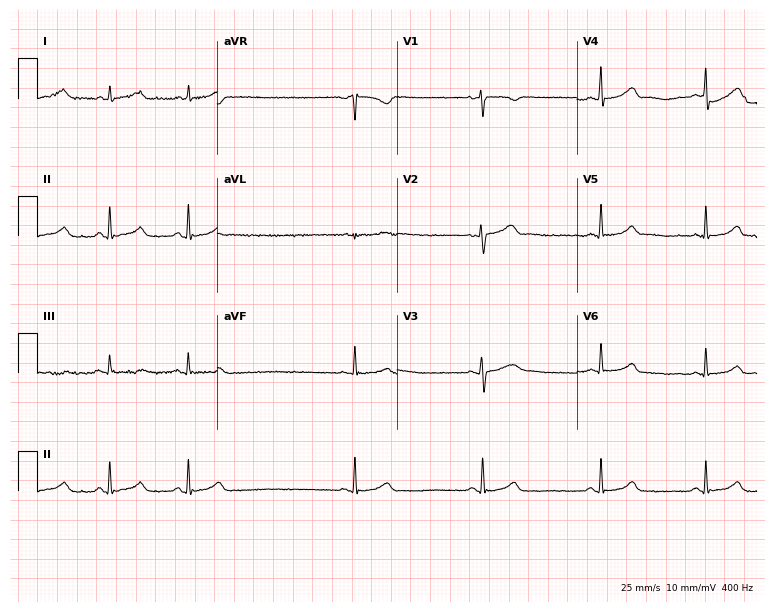
Electrocardiogram, a 30-year-old female patient. Overall reading on record: normal ECG.